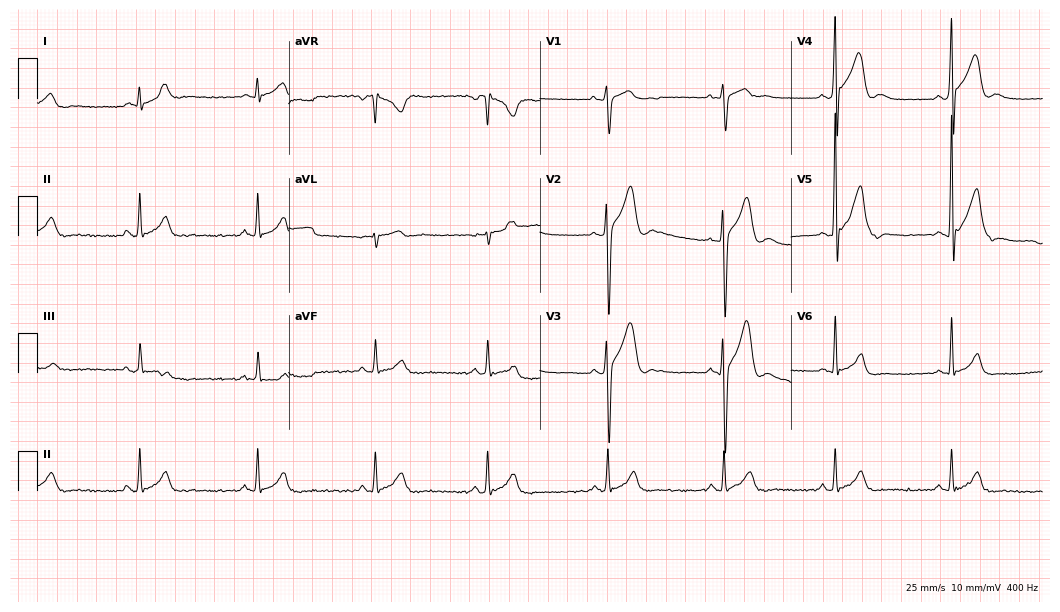
Standard 12-lead ECG recorded from a 21-year-old male (10.2-second recording at 400 Hz). Read as a normal ECG.